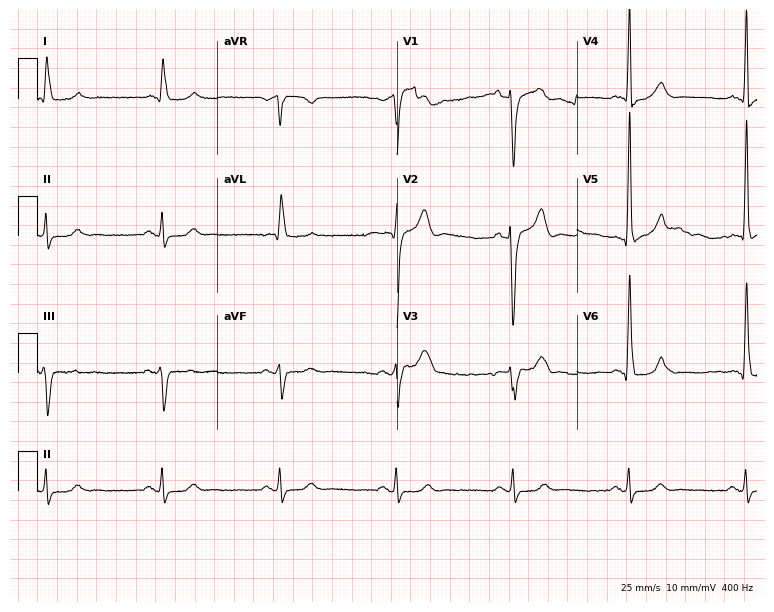
ECG (7.3-second recording at 400 Hz) — a 65-year-old man. Screened for six findings — first-degree AV block, right bundle branch block (RBBB), left bundle branch block (LBBB), sinus bradycardia, atrial fibrillation (AF), sinus tachycardia — none is recorded. Only these six findings were labelled.